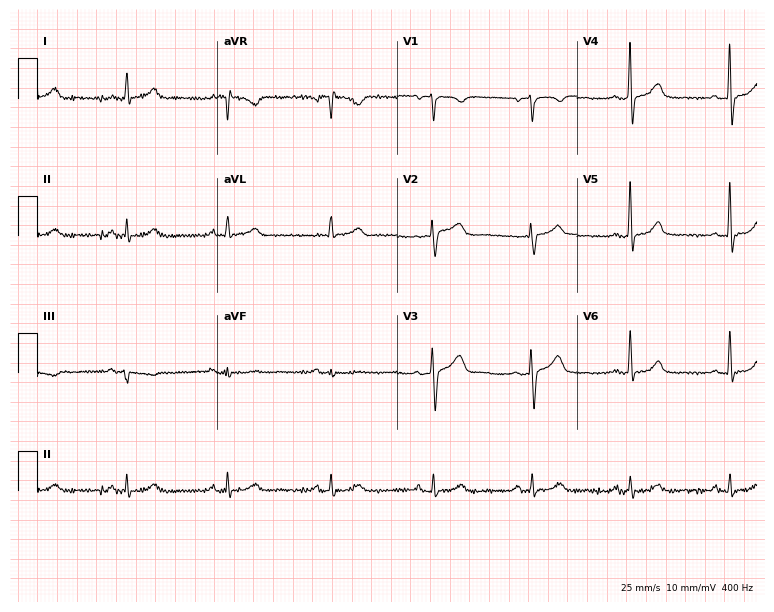
ECG (7.3-second recording at 400 Hz) — a female, 56 years old. Labelled as a normal ECG.